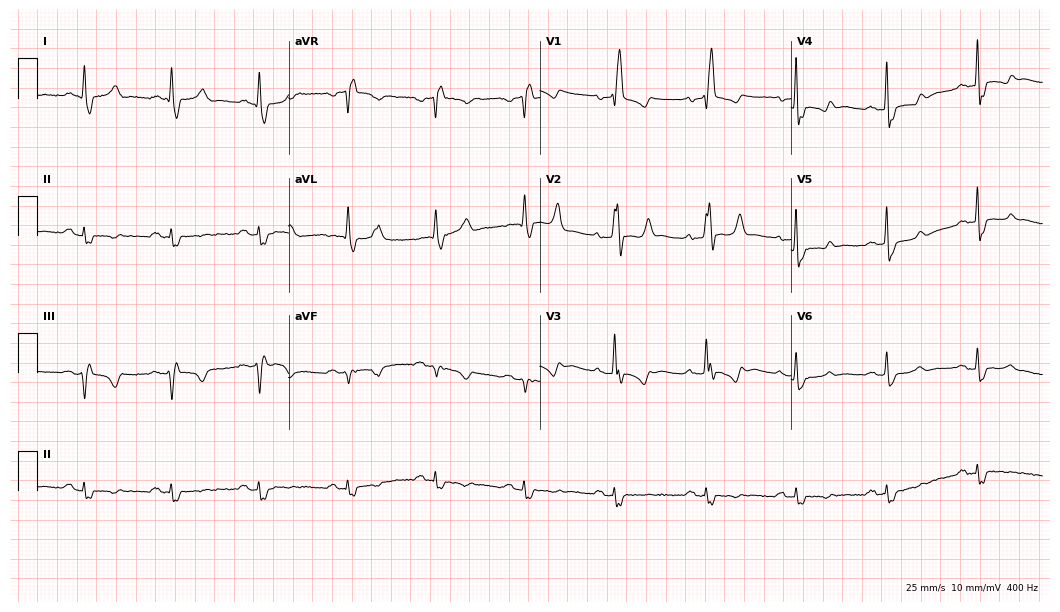
Resting 12-lead electrocardiogram (10.2-second recording at 400 Hz). Patient: a man, 63 years old. None of these six findings is recorded: first-degree AV block, right bundle branch block, left bundle branch block, sinus bradycardia, atrial fibrillation, sinus tachycardia. Only these six findings were labelled.